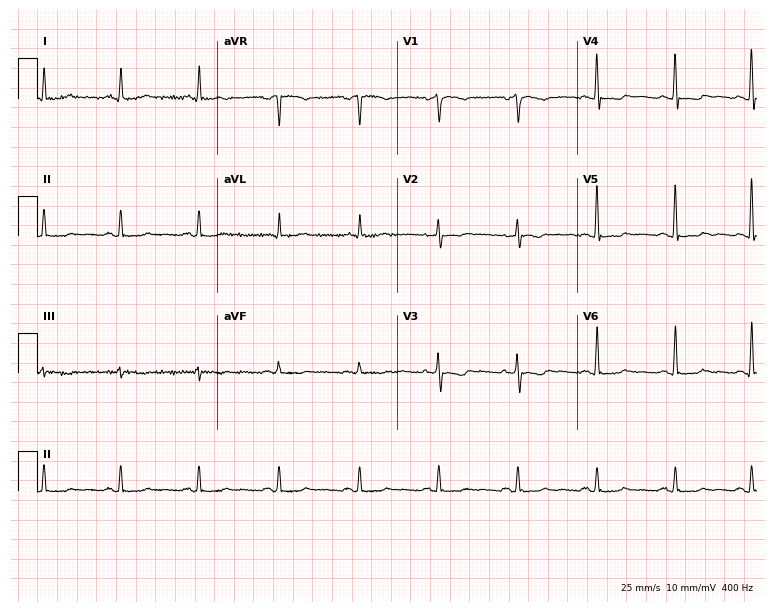
Resting 12-lead electrocardiogram. Patient: a female, 59 years old. None of these six findings is recorded: first-degree AV block, right bundle branch block, left bundle branch block, sinus bradycardia, atrial fibrillation, sinus tachycardia. Only these six findings were labelled.